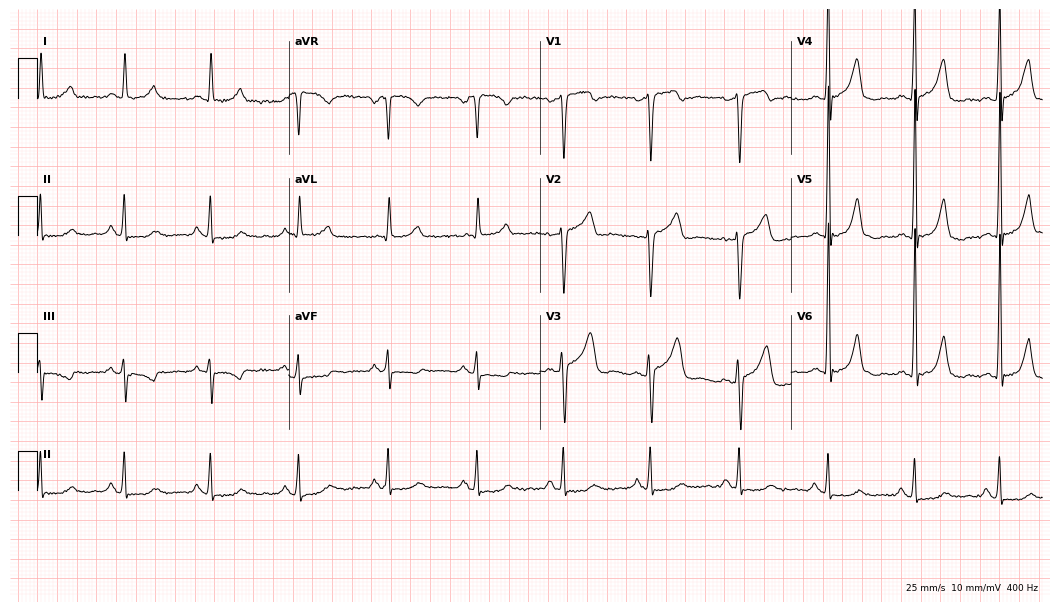
Electrocardiogram (10.2-second recording at 400 Hz), a man, 60 years old. Of the six screened findings (first-degree AV block, right bundle branch block (RBBB), left bundle branch block (LBBB), sinus bradycardia, atrial fibrillation (AF), sinus tachycardia), none is recorded.